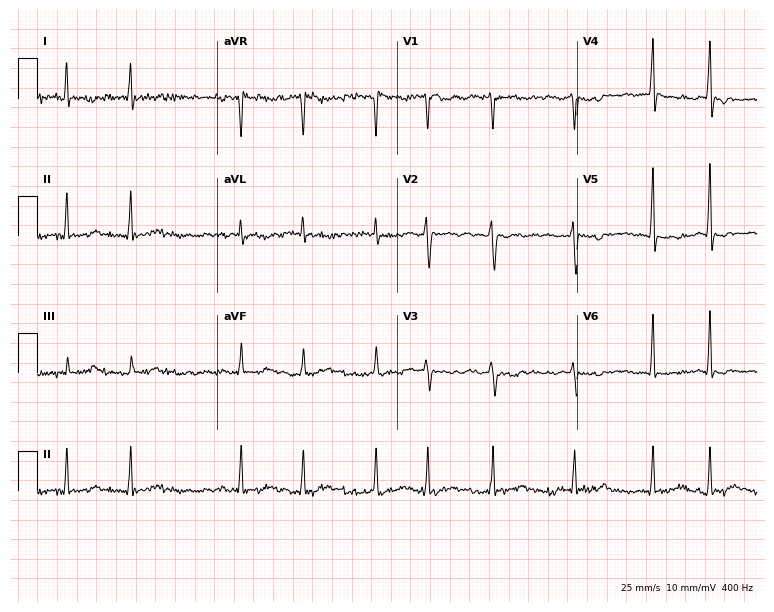
Resting 12-lead electrocardiogram. Patient: a man, 48 years old. The tracing shows atrial fibrillation.